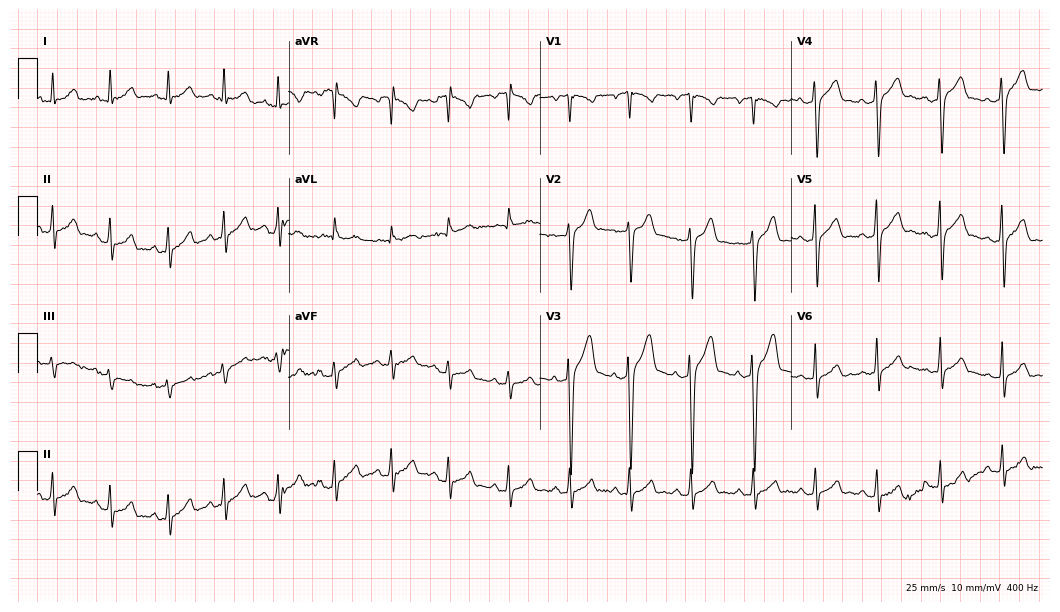
Standard 12-lead ECG recorded from a male, 32 years old (10.2-second recording at 400 Hz). Read as a normal ECG.